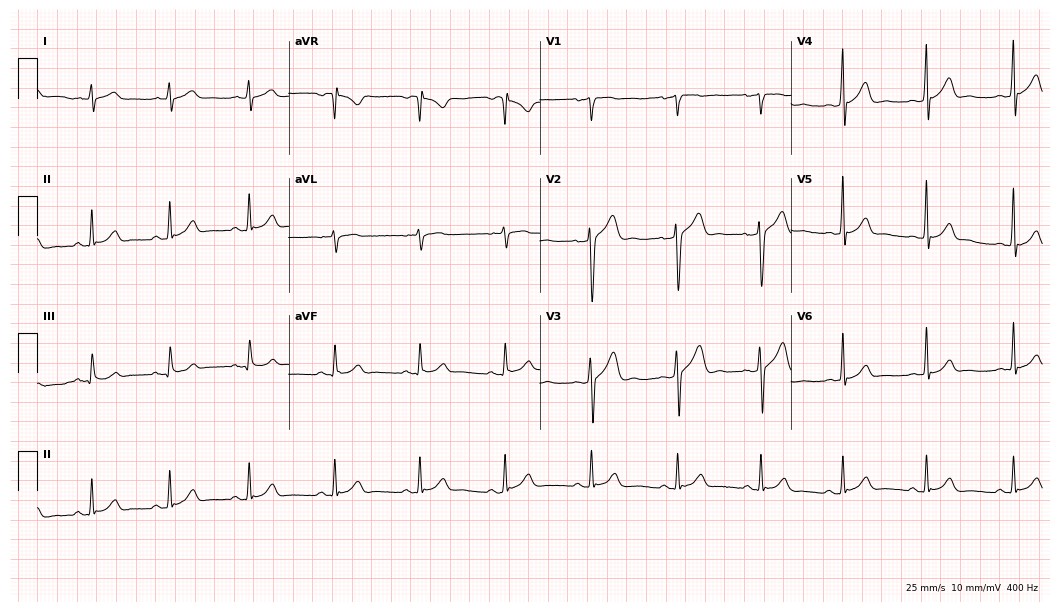
ECG — a 28-year-old male. Screened for six findings — first-degree AV block, right bundle branch block (RBBB), left bundle branch block (LBBB), sinus bradycardia, atrial fibrillation (AF), sinus tachycardia — none is recorded.